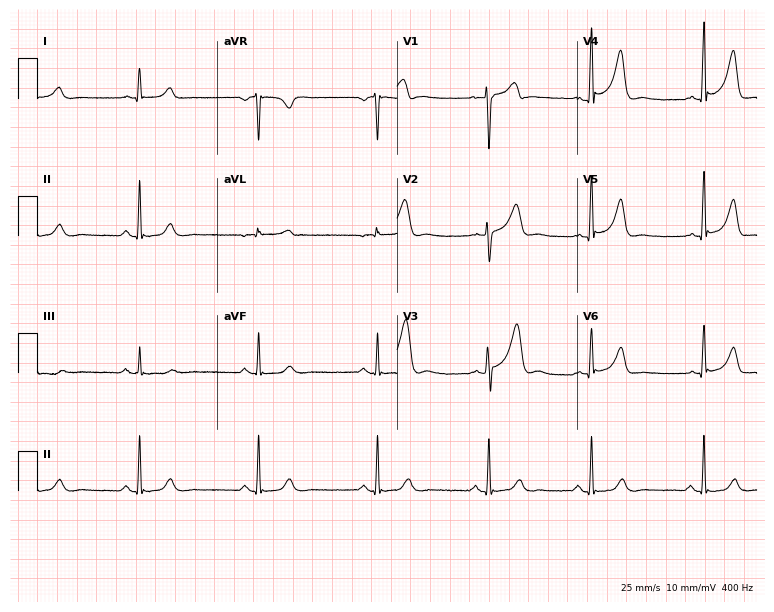
12-lead ECG from a 34-year-old male patient. No first-degree AV block, right bundle branch block, left bundle branch block, sinus bradycardia, atrial fibrillation or sinus tachycardia recorded for this tracing. Only these six findings were labelled.